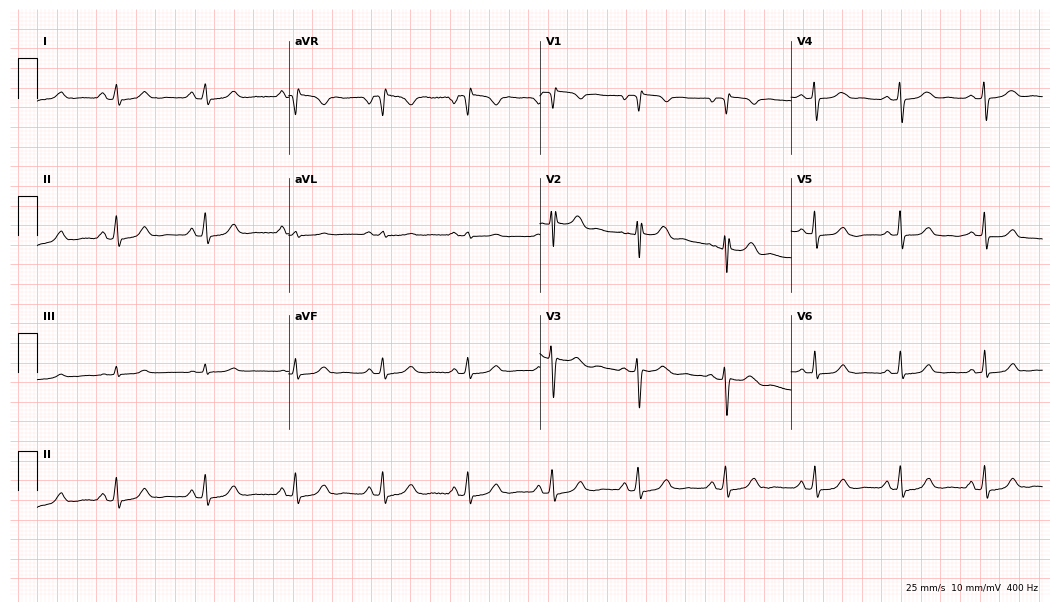
12-lead ECG from a 46-year-old female patient (10.2-second recording at 400 Hz). Recorded interpretation: within normal limits.